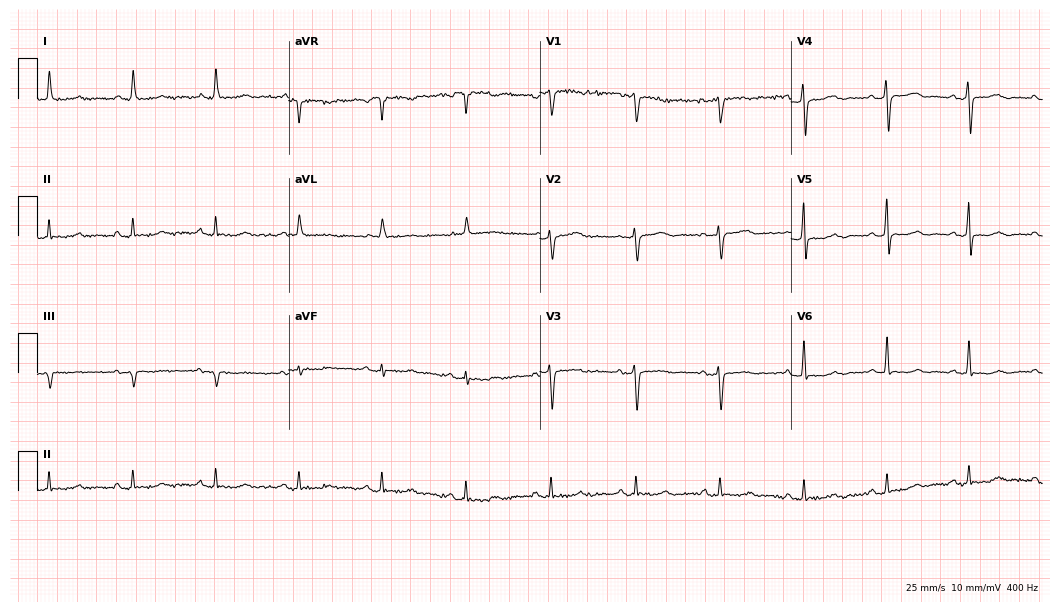
Standard 12-lead ECG recorded from a female, 57 years old. Read as a normal ECG.